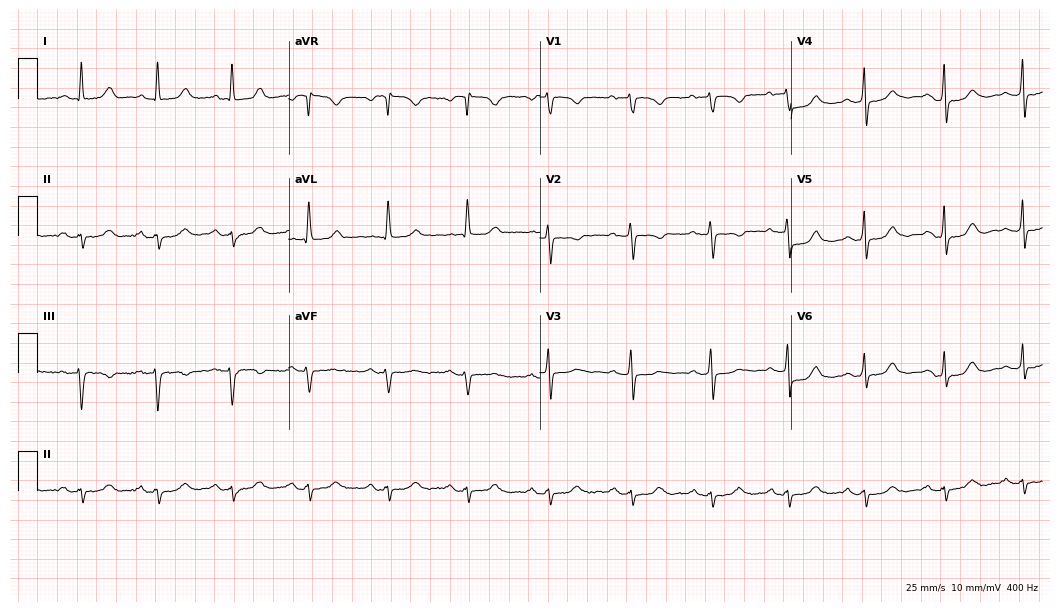
ECG (10.2-second recording at 400 Hz) — a 69-year-old female patient. Screened for six findings — first-degree AV block, right bundle branch block (RBBB), left bundle branch block (LBBB), sinus bradycardia, atrial fibrillation (AF), sinus tachycardia — none is recorded. Only these six findings were labelled.